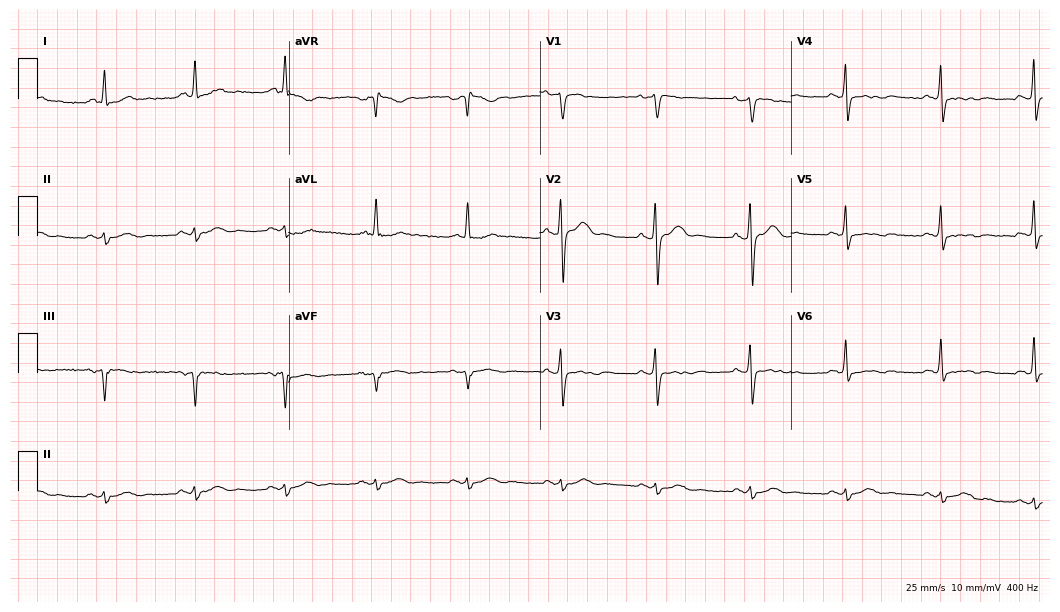
12-lead ECG (10.2-second recording at 400 Hz) from a male, 59 years old. Screened for six findings — first-degree AV block, right bundle branch block (RBBB), left bundle branch block (LBBB), sinus bradycardia, atrial fibrillation (AF), sinus tachycardia — none is recorded. Only these six findings were labelled.